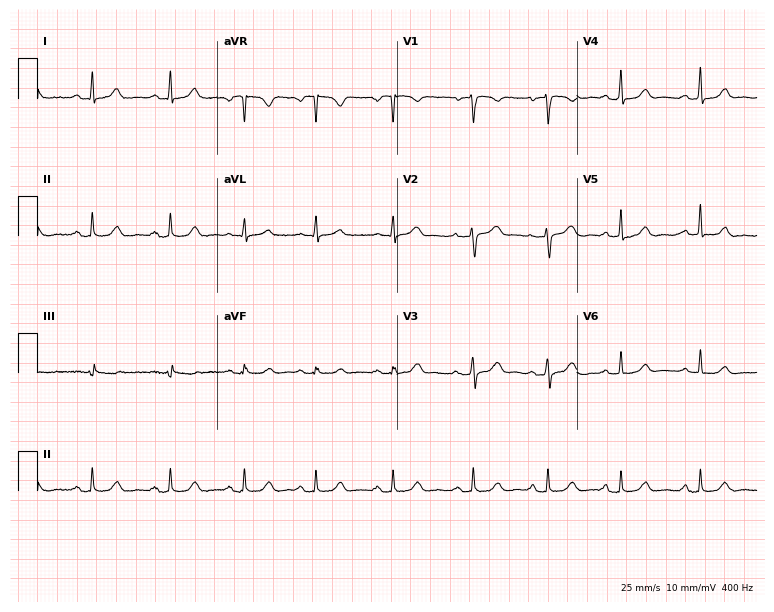
12-lead ECG from a female patient, 53 years old. Recorded interpretation: within normal limits.